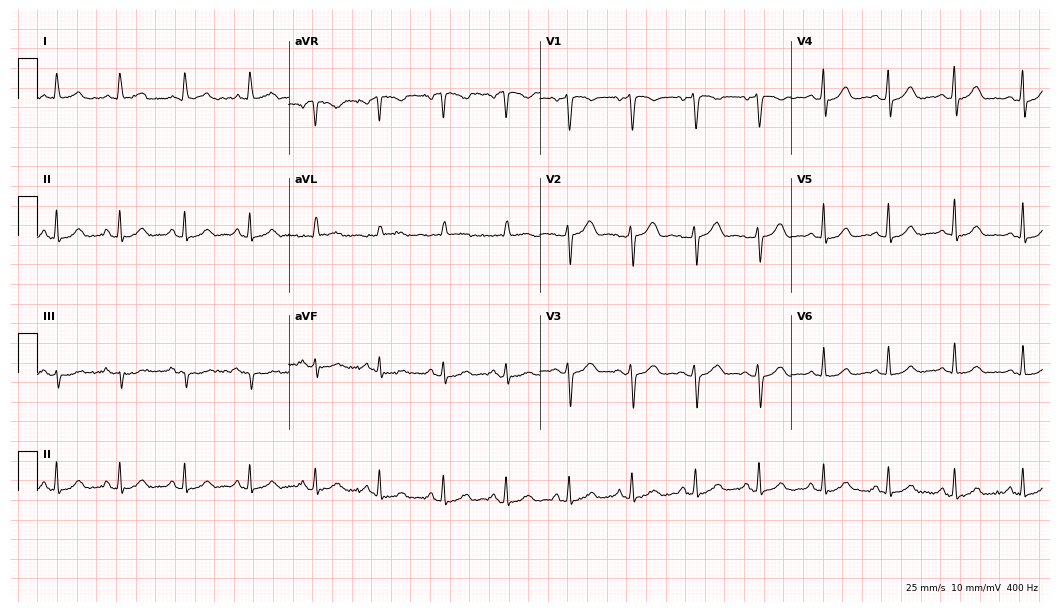
Resting 12-lead electrocardiogram. Patient: a female, 49 years old. Read as a normal ECG.